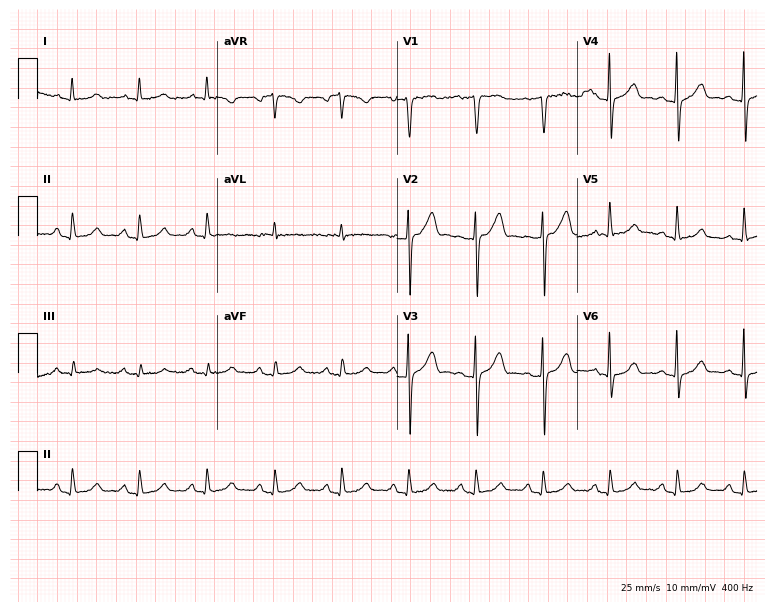
Resting 12-lead electrocardiogram (7.3-second recording at 400 Hz). Patient: an 81-year-old man. Read as a normal ECG.